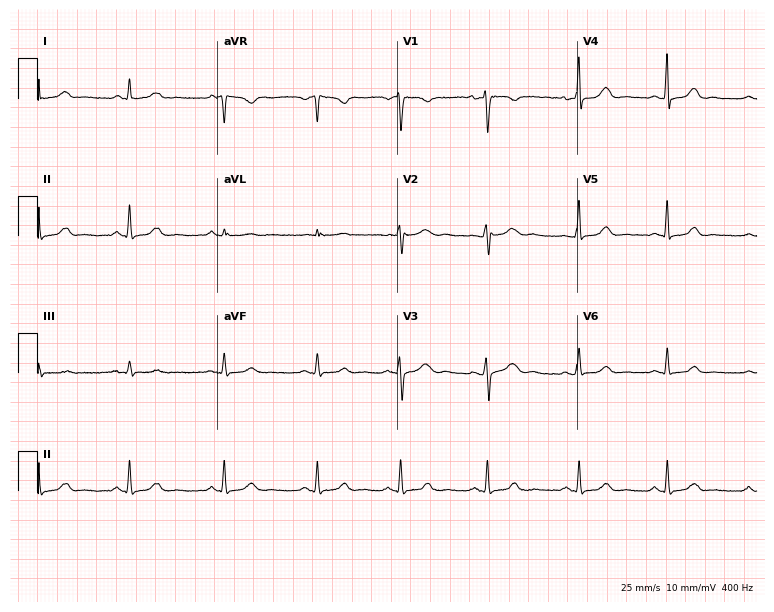
Electrocardiogram (7.3-second recording at 400 Hz), a 36-year-old female. Overall reading on record: normal ECG.